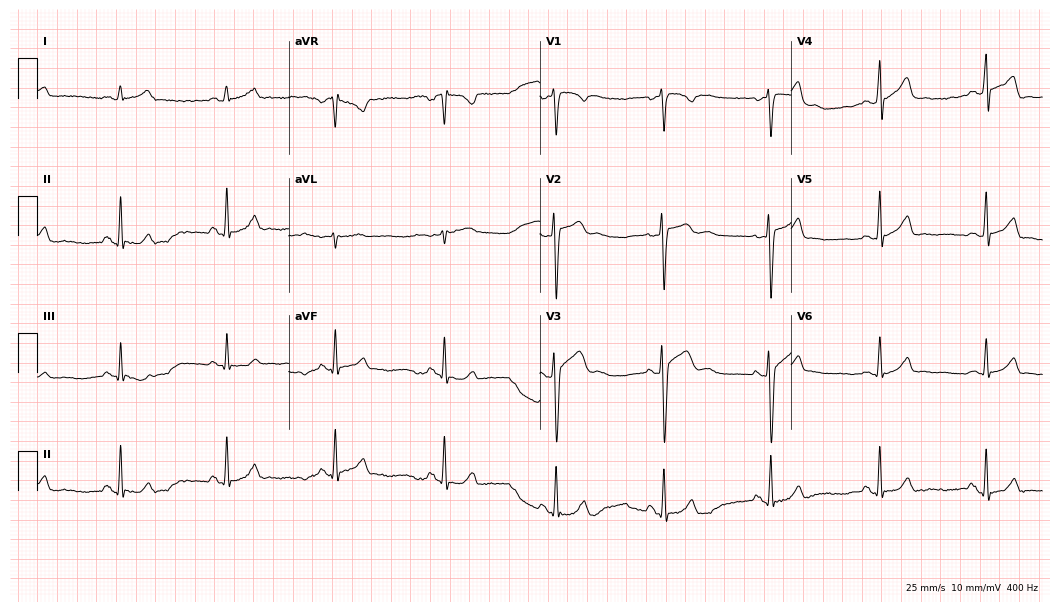
12-lead ECG from a male patient, 21 years old. Labelled as a normal ECG.